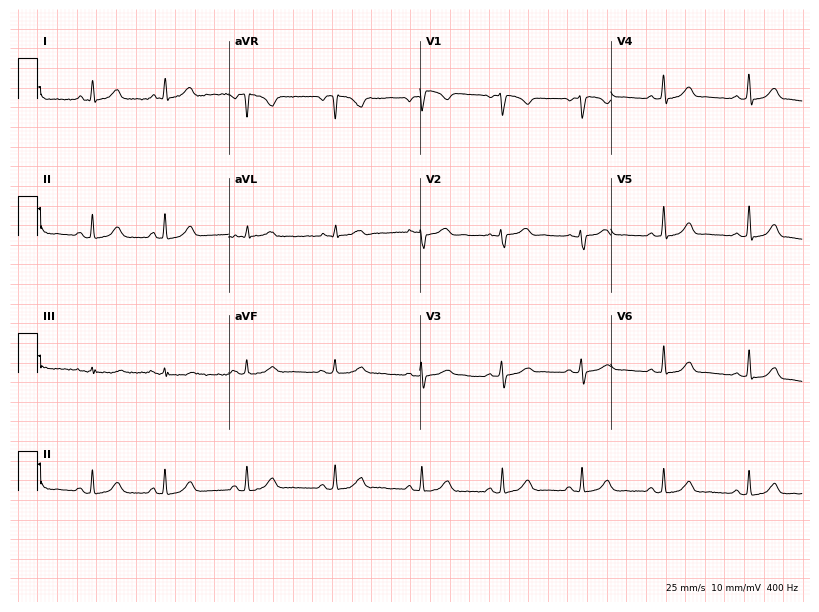
Standard 12-lead ECG recorded from a woman, 25 years old (7.8-second recording at 400 Hz). Read as a normal ECG.